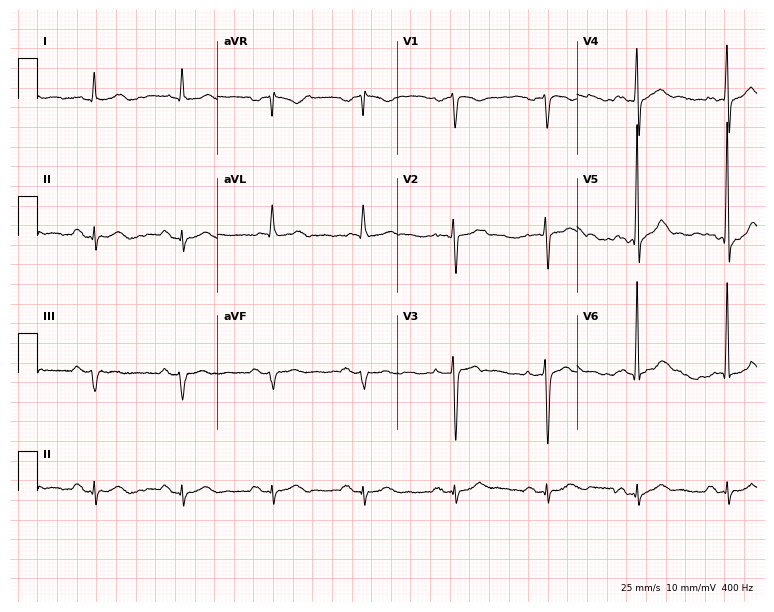
Resting 12-lead electrocardiogram. Patient: a 71-year-old man. Read as a normal ECG.